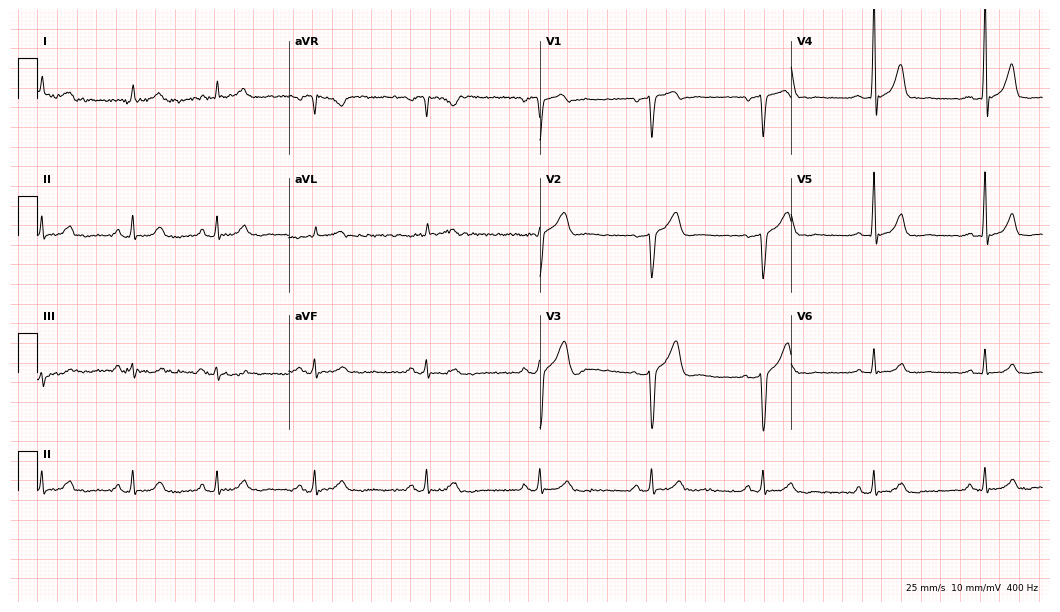
Electrocardiogram (10.2-second recording at 400 Hz), a 67-year-old male. Of the six screened findings (first-degree AV block, right bundle branch block (RBBB), left bundle branch block (LBBB), sinus bradycardia, atrial fibrillation (AF), sinus tachycardia), none is recorded. Findings outside these six are not listed.